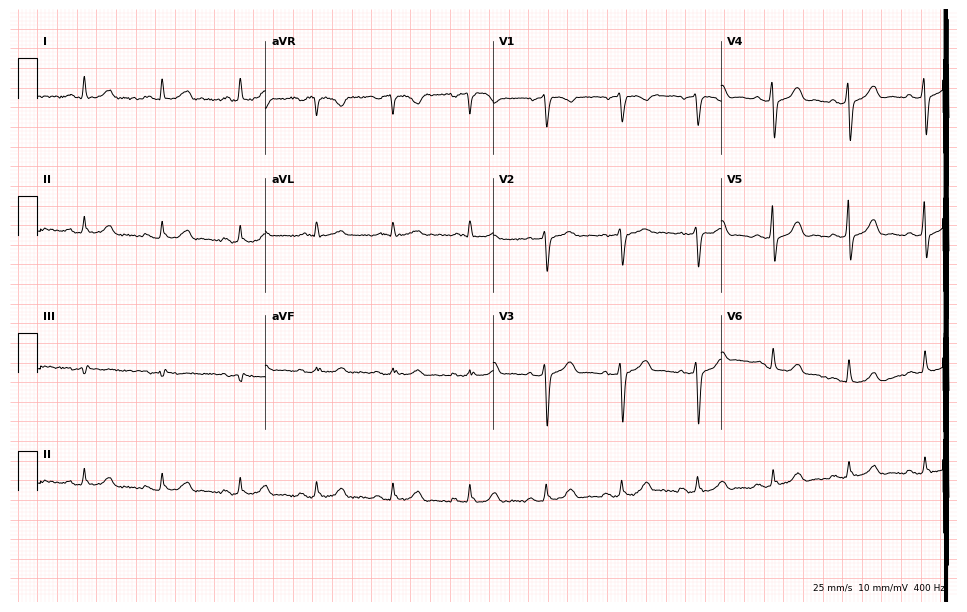
Standard 12-lead ECG recorded from a 66-year-old man. Read as a normal ECG.